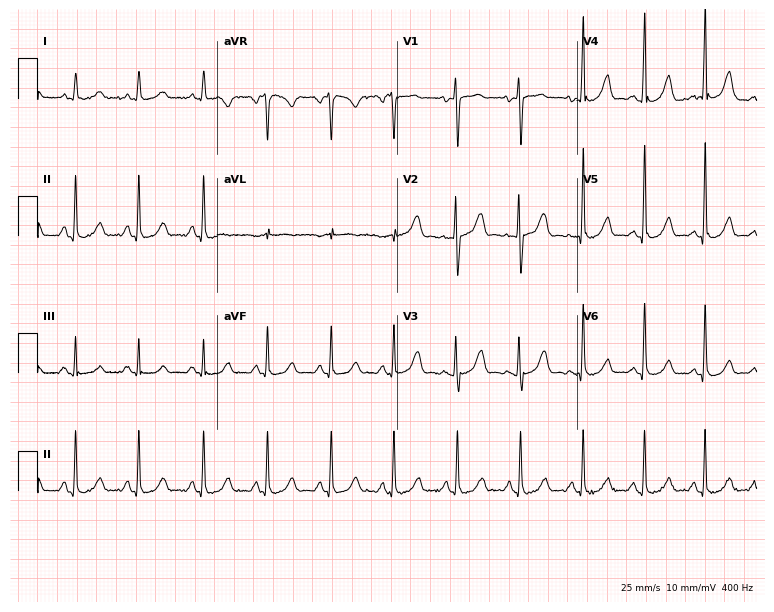
Electrocardiogram, a female, 40 years old. Overall reading on record: normal ECG.